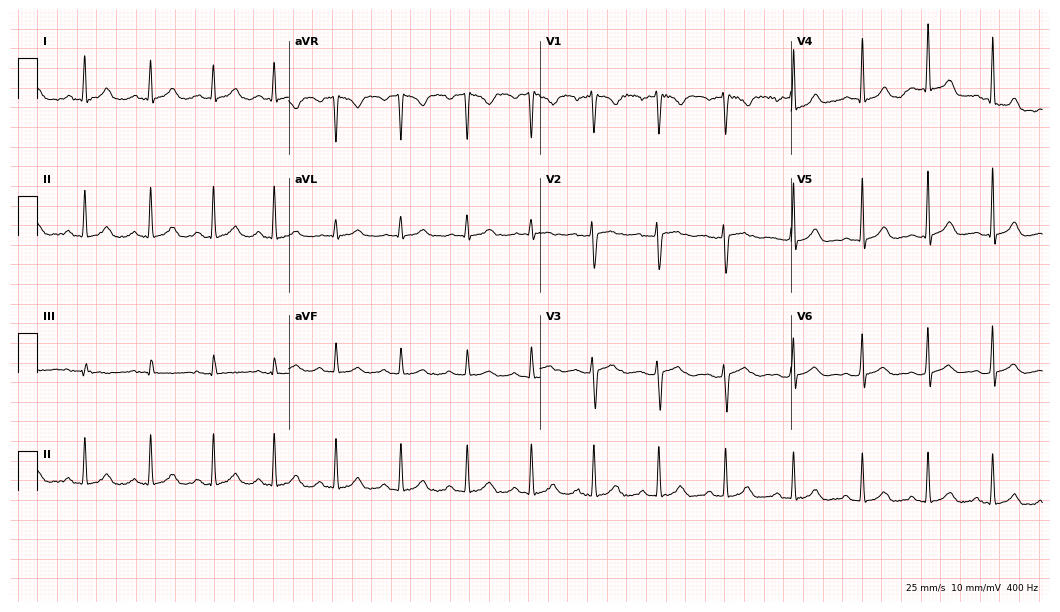
12-lead ECG from a 17-year-old woman. Labelled as a normal ECG.